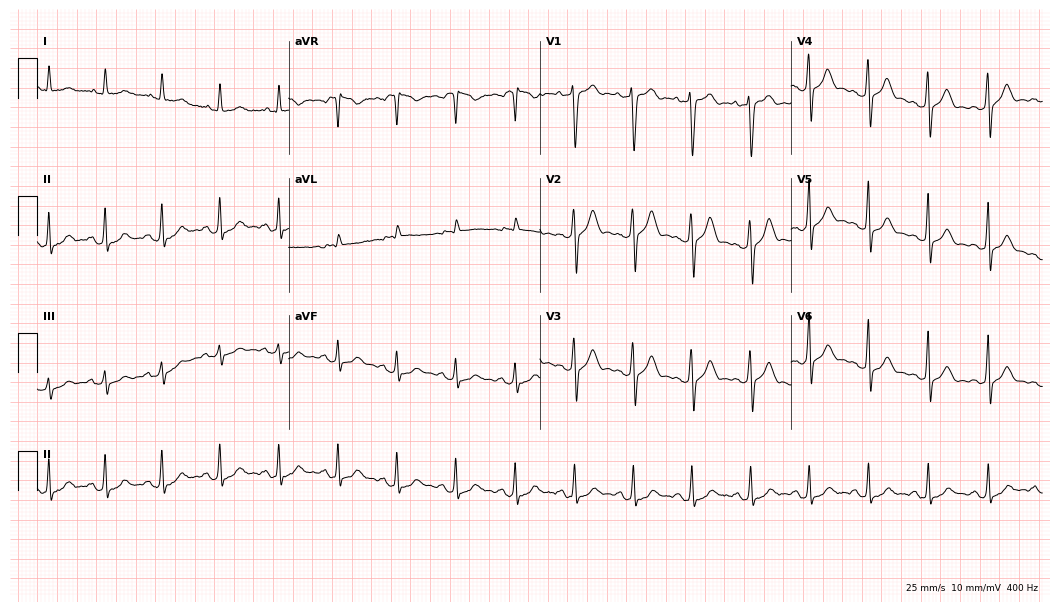
Standard 12-lead ECG recorded from a 38-year-old male. The tracing shows sinus tachycardia (a sinus rate of 100 beats per minute or more).